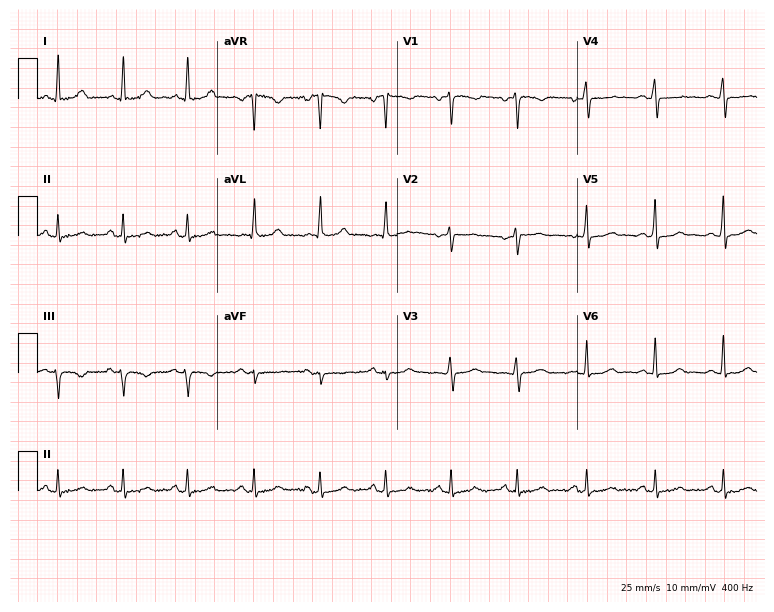
Standard 12-lead ECG recorded from a female patient, 46 years old. None of these six findings is recorded: first-degree AV block, right bundle branch block, left bundle branch block, sinus bradycardia, atrial fibrillation, sinus tachycardia. Findings outside these six are not listed.